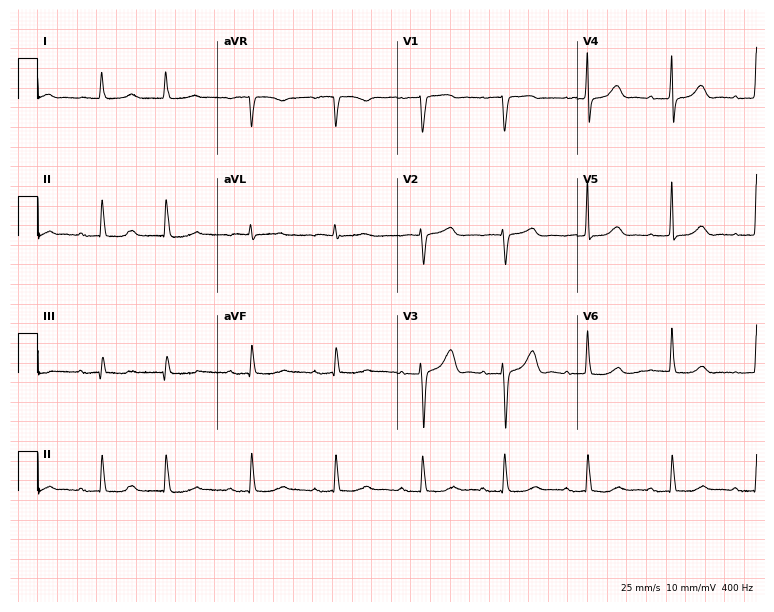
ECG — an 82-year-old female. Findings include first-degree AV block.